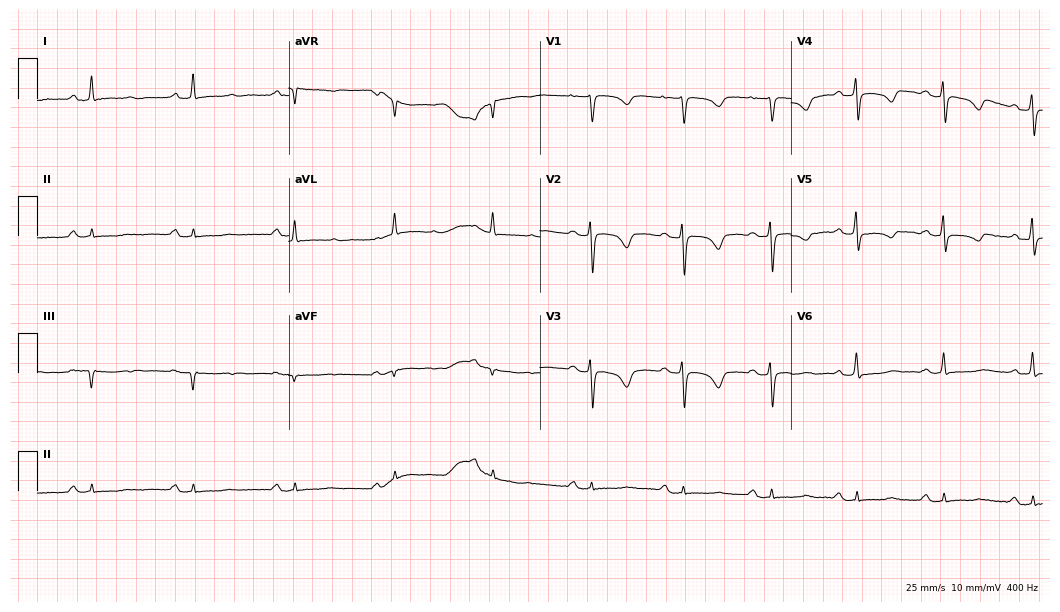
Resting 12-lead electrocardiogram. Patient: a 58-year-old female. The tracing shows first-degree AV block.